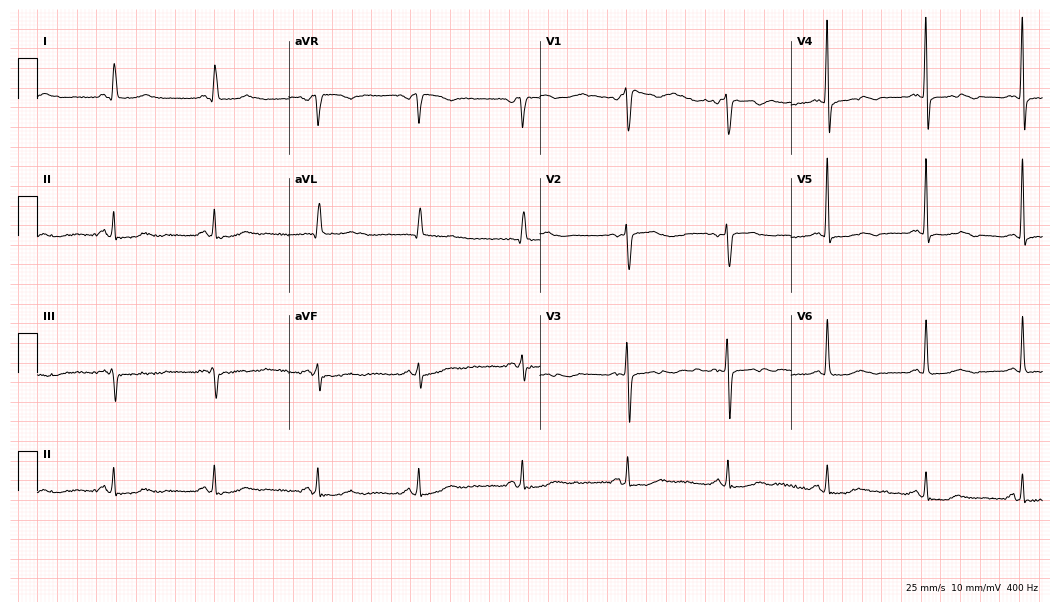
Electrocardiogram, a woman, 54 years old. Of the six screened findings (first-degree AV block, right bundle branch block, left bundle branch block, sinus bradycardia, atrial fibrillation, sinus tachycardia), none is recorded.